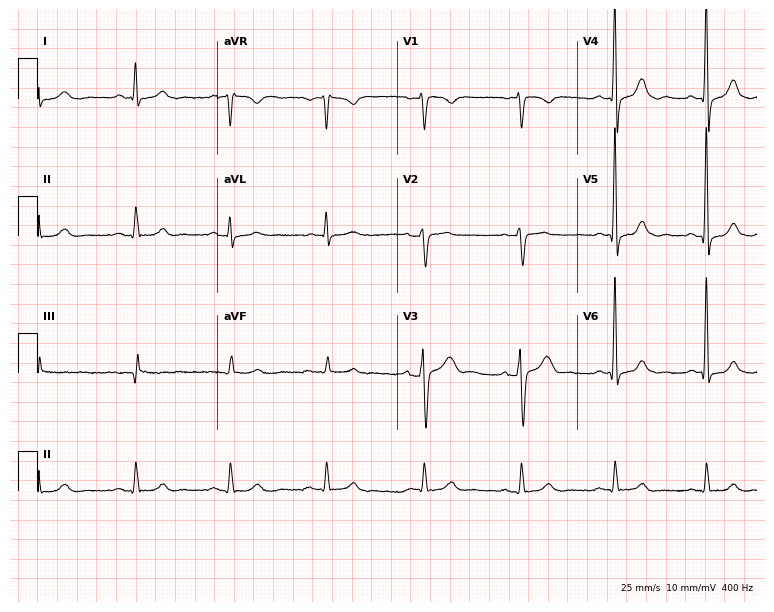
12-lead ECG from a man, 54 years old. Recorded interpretation: within normal limits.